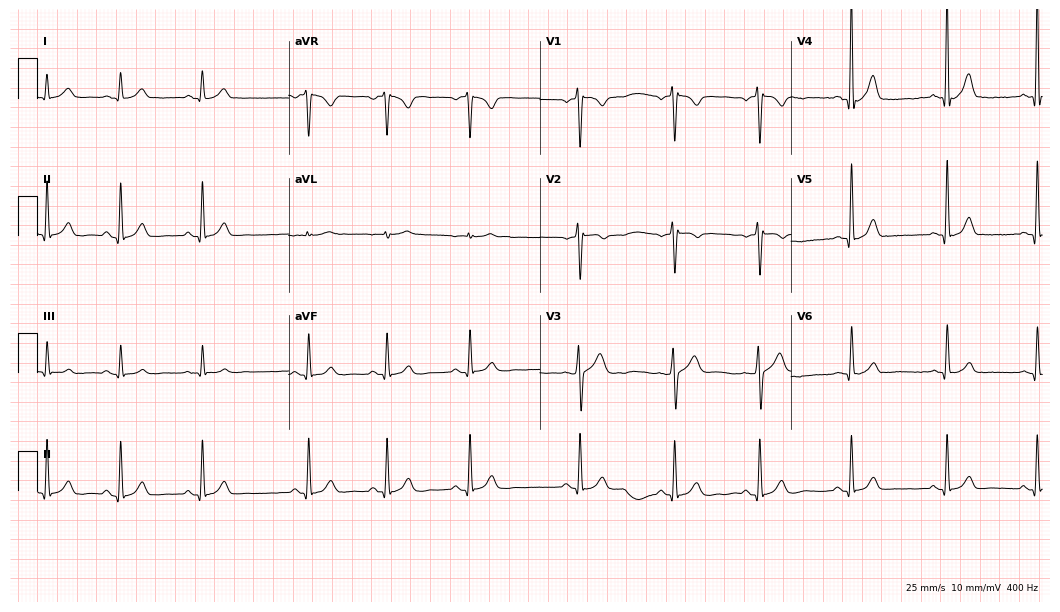
12-lead ECG from a male patient, 27 years old. Recorded interpretation: within normal limits.